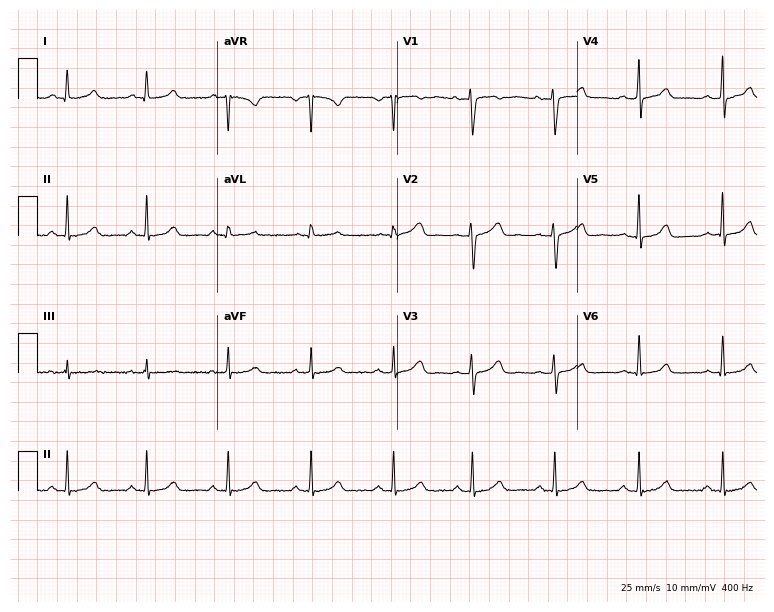
Electrocardiogram, a 19-year-old female patient. Overall reading on record: normal ECG.